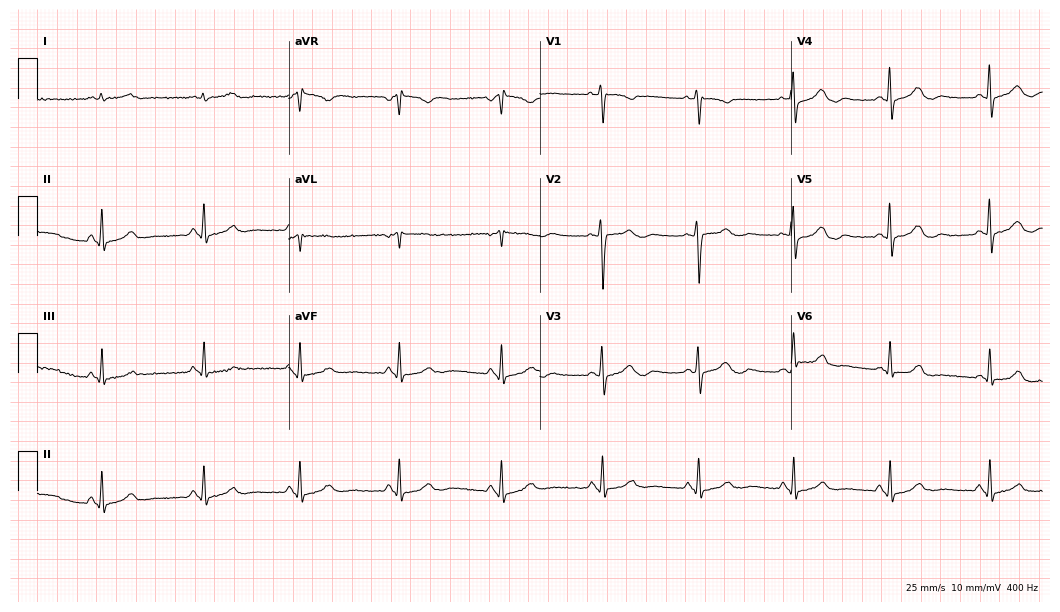
Electrocardiogram, a woman, 40 years old. Of the six screened findings (first-degree AV block, right bundle branch block, left bundle branch block, sinus bradycardia, atrial fibrillation, sinus tachycardia), none is recorded.